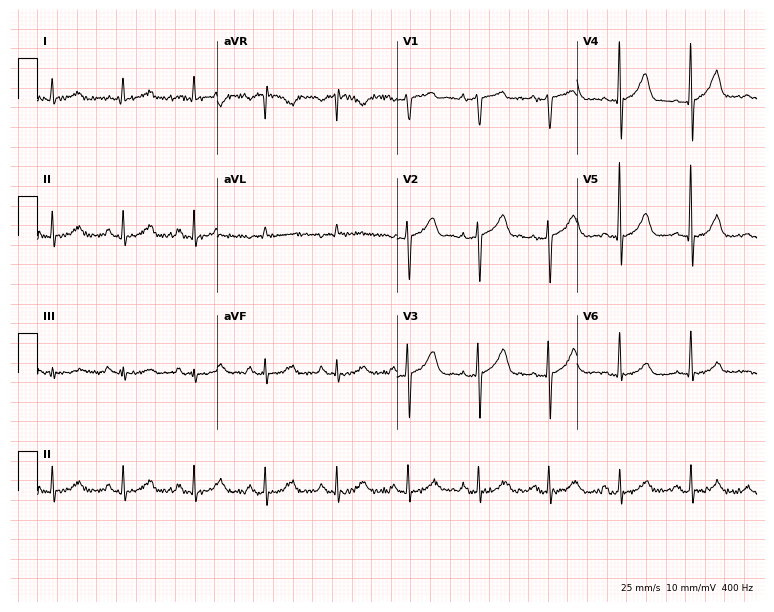
ECG (7.3-second recording at 400 Hz) — a 73-year-old man. Labelled as a normal ECG.